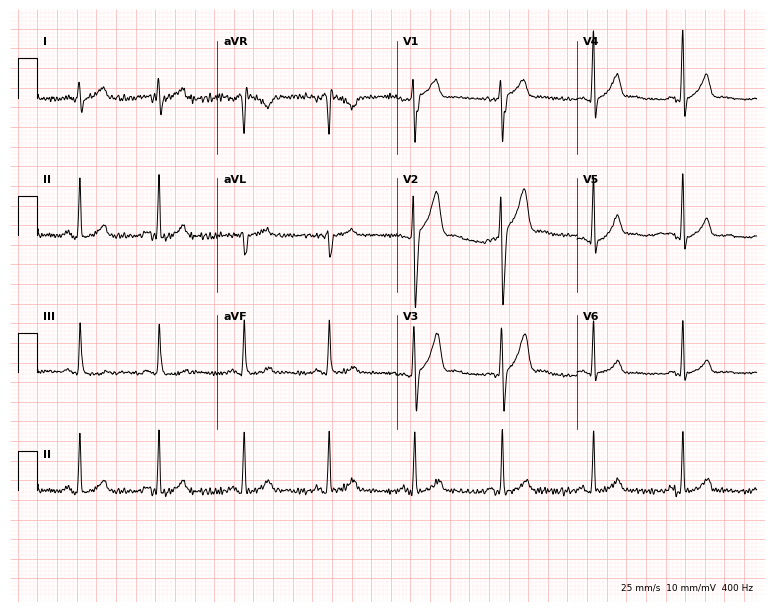
12-lead ECG from a man, 32 years old. Labelled as a normal ECG.